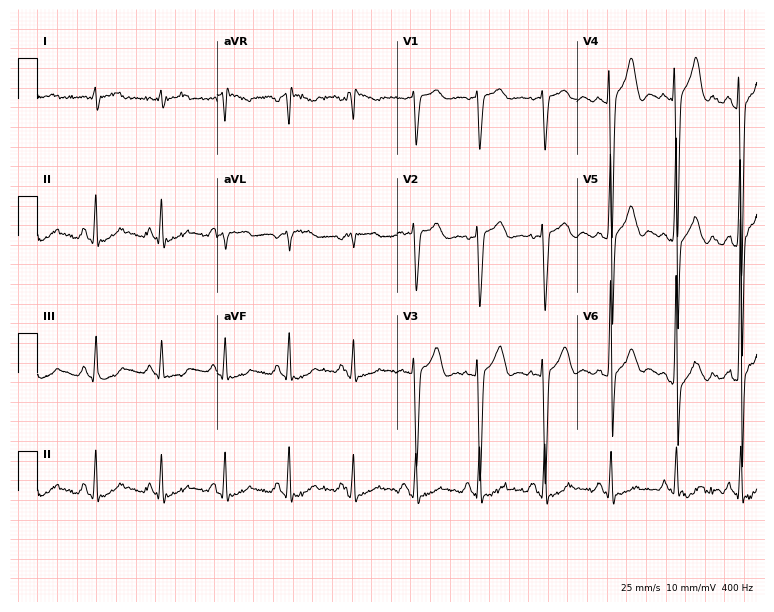
Standard 12-lead ECG recorded from a male, 22 years old (7.3-second recording at 400 Hz). Read as a normal ECG.